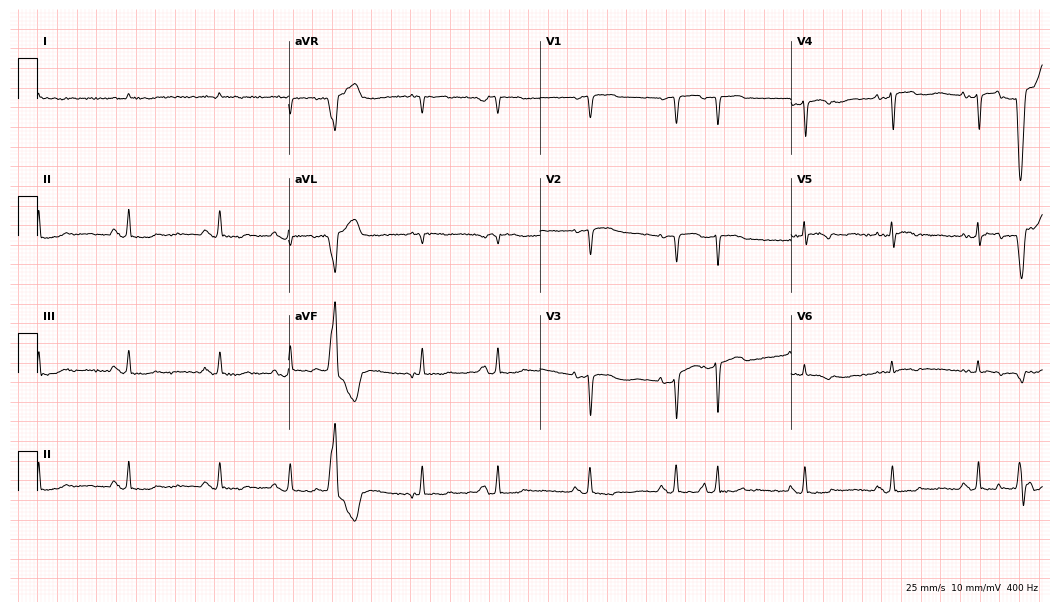
12-lead ECG from a 78-year-old male patient (10.2-second recording at 400 Hz). No first-degree AV block, right bundle branch block, left bundle branch block, sinus bradycardia, atrial fibrillation or sinus tachycardia recorded for this tracing.